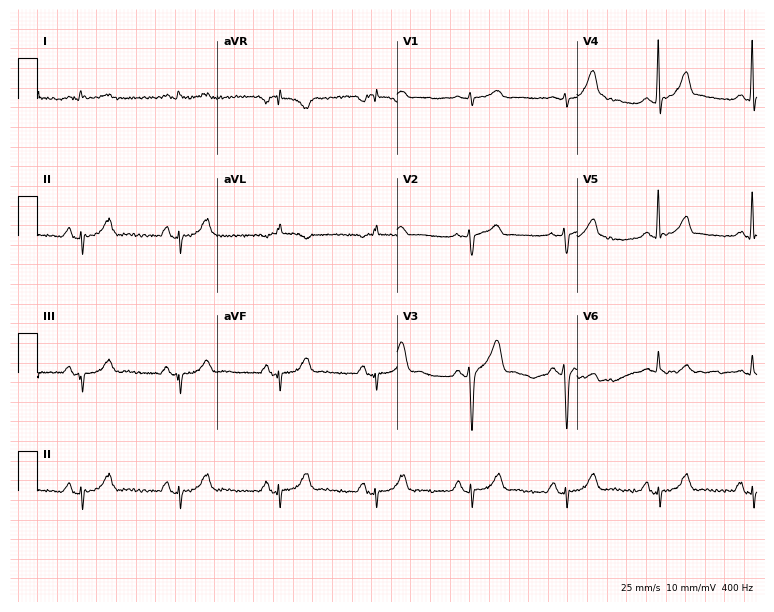
Electrocardiogram, a 63-year-old male. Of the six screened findings (first-degree AV block, right bundle branch block, left bundle branch block, sinus bradycardia, atrial fibrillation, sinus tachycardia), none is recorded. Only these six findings were labelled.